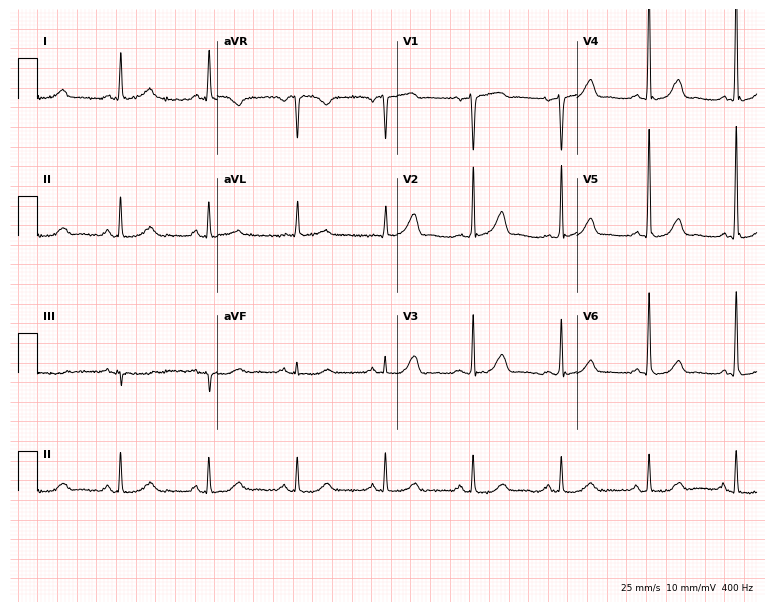
Resting 12-lead electrocardiogram (7.3-second recording at 400 Hz). Patient: a woman, 78 years old. Read as a normal ECG.